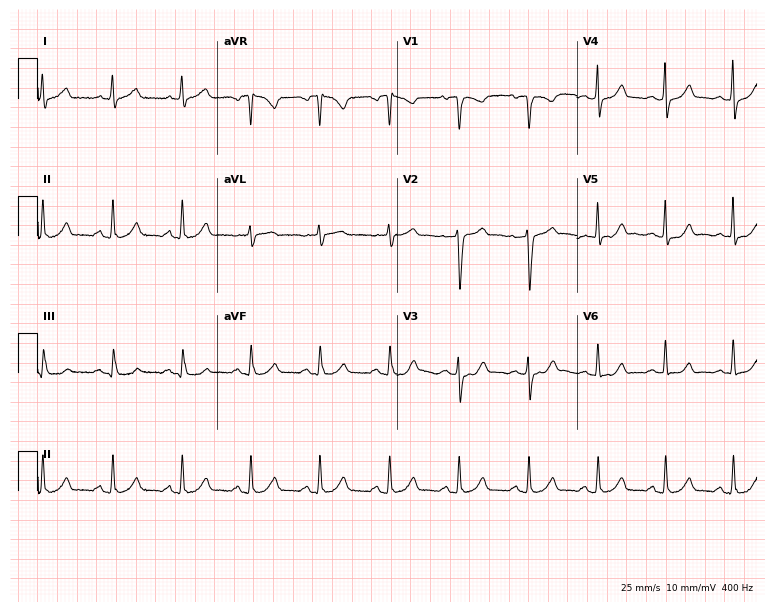
Resting 12-lead electrocardiogram (7.3-second recording at 400 Hz). Patient: a woman, 49 years old. Read as a normal ECG.